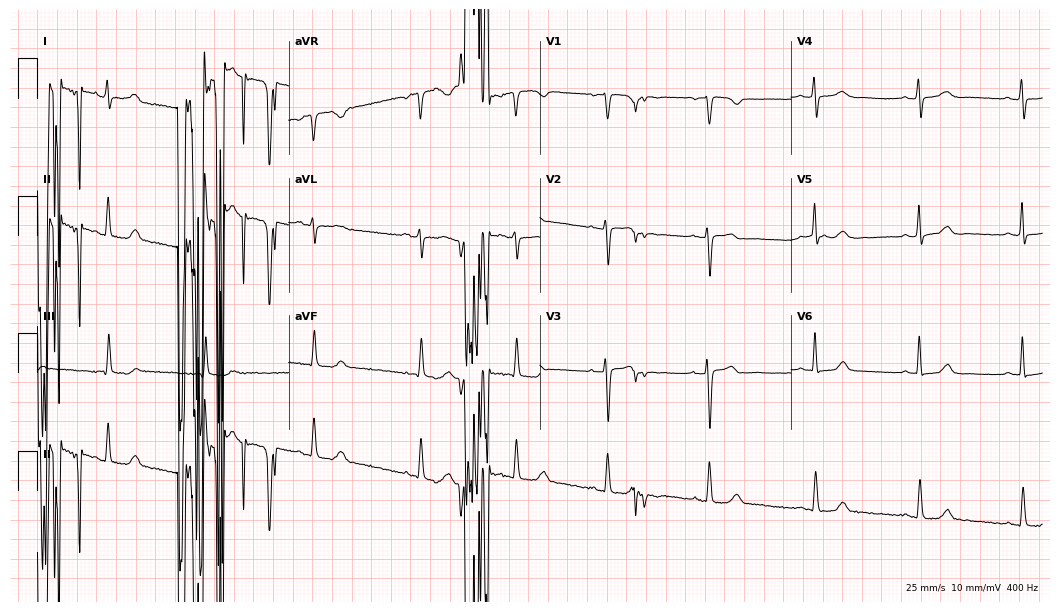
12-lead ECG (10.2-second recording at 400 Hz) from a female, 48 years old. Screened for six findings — first-degree AV block, right bundle branch block (RBBB), left bundle branch block (LBBB), sinus bradycardia, atrial fibrillation (AF), sinus tachycardia — none is recorded. Findings outside these six are not listed.